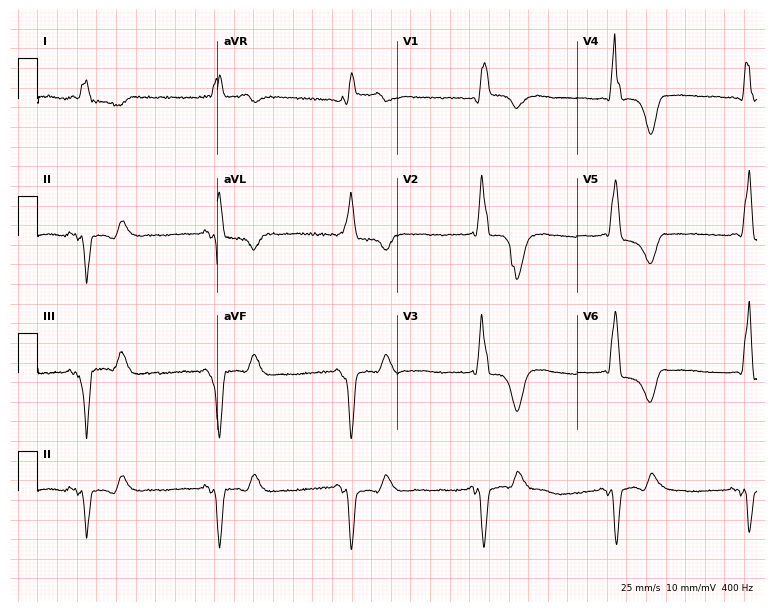
12-lead ECG from a male patient, 84 years old (7.3-second recording at 400 Hz). No first-degree AV block, right bundle branch block, left bundle branch block, sinus bradycardia, atrial fibrillation or sinus tachycardia recorded for this tracing.